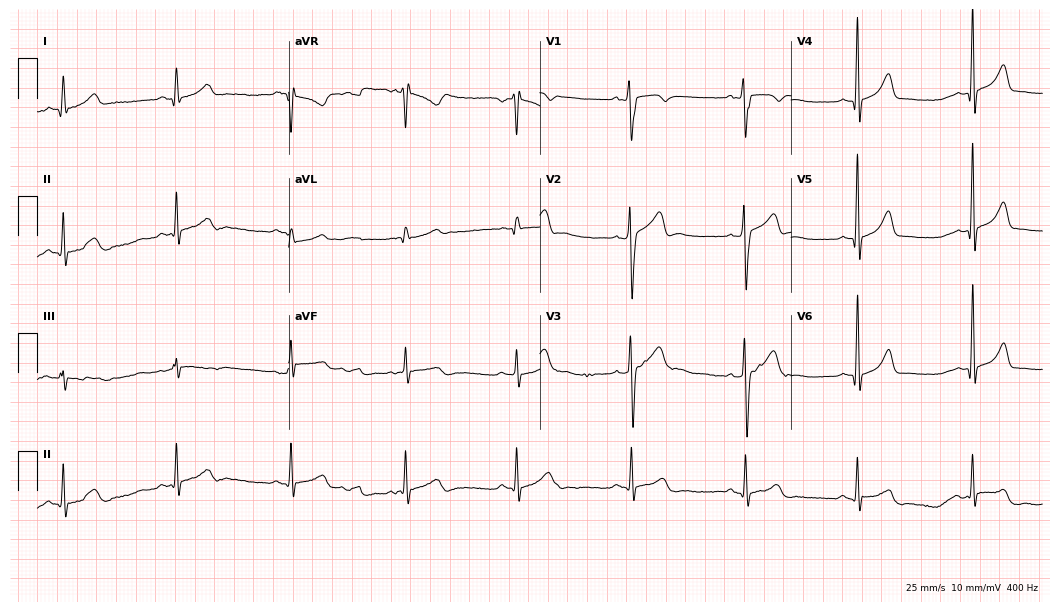
12-lead ECG from a 21-year-old male. Recorded interpretation: within normal limits.